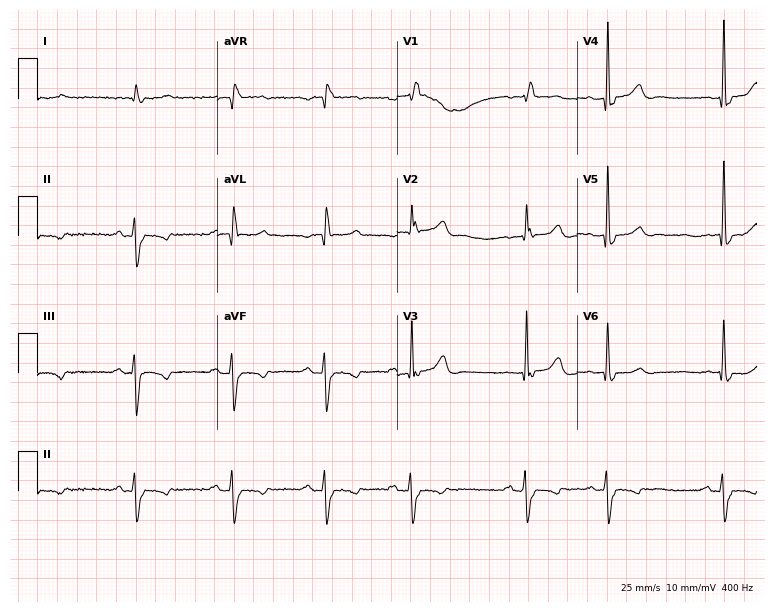
12-lead ECG from a male patient, 84 years old. Findings include right bundle branch block.